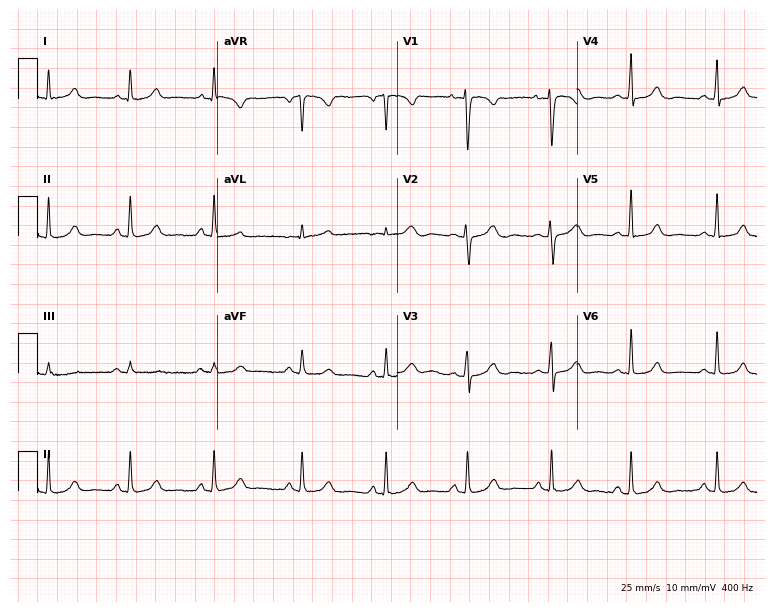
ECG (7.3-second recording at 400 Hz) — a female, 26 years old. Labelled as a normal ECG.